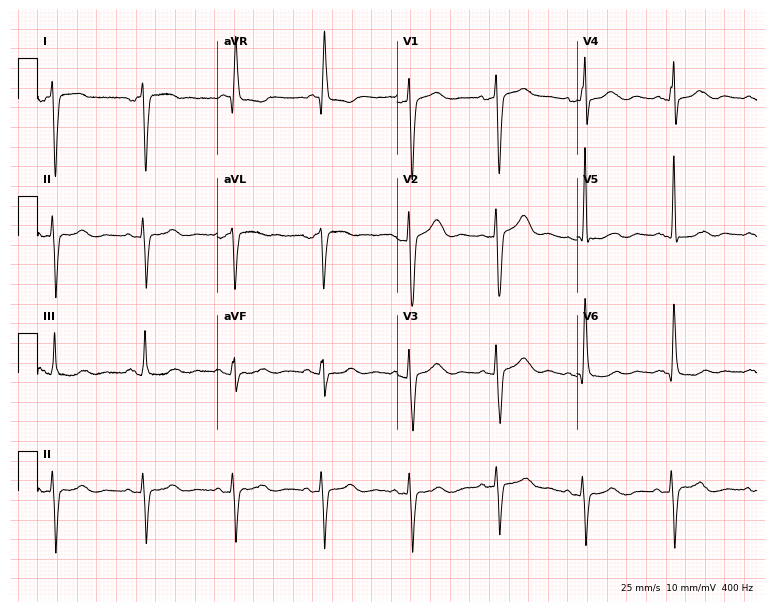
12-lead ECG from a 64-year-old woman (7.3-second recording at 400 Hz). No first-degree AV block, right bundle branch block, left bundle branch block, sinus bradycardia, atrial fibrillation or sinus tachycardia recorded for this tracing. Findings outside these six are not listed.